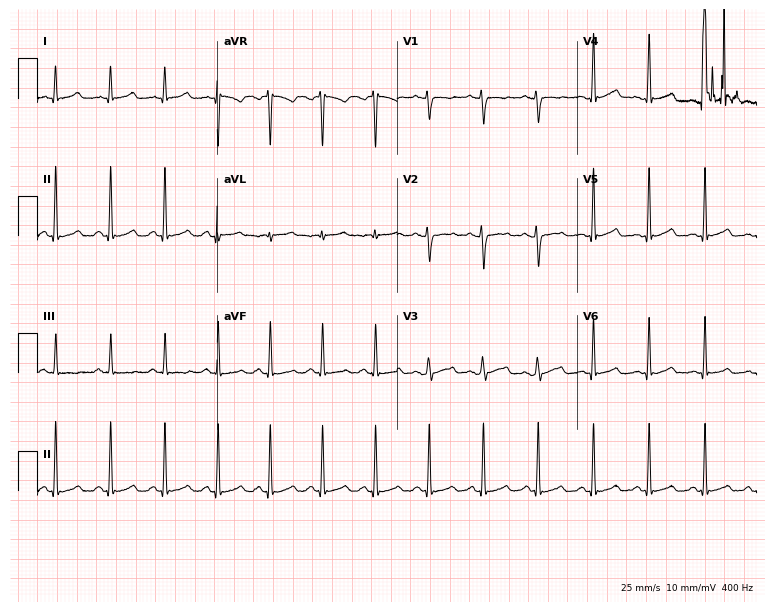
ECG — a female, 24 years old. Findings include sinus tachycardia (a sinus rate of 100 beats per minute or more).